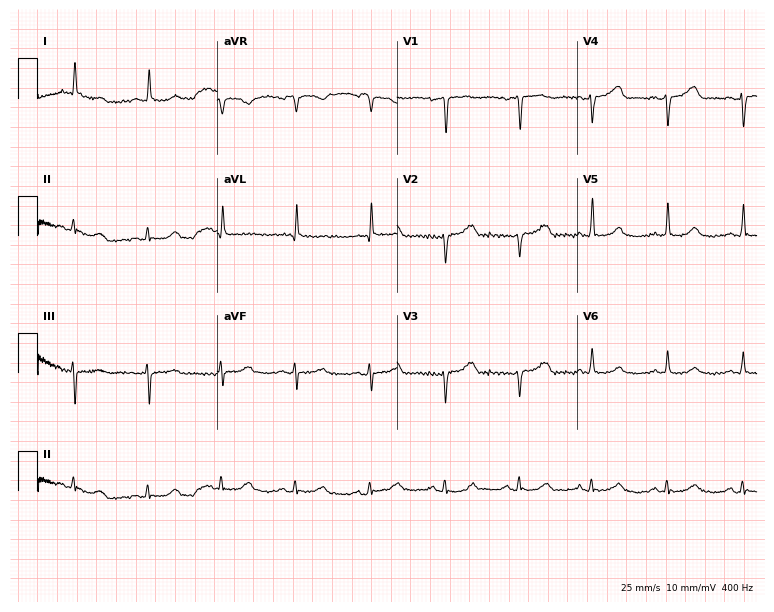
Resting 12-lead electrocardiogram (7.3-second recording at 400 Hz). Patient: a woman, 72 years old. None of these six findings is recorded: first-degree AV block, right bundle branch block, left bundle branch block, sinus bradycardia, atrial fibrillation, sinus tachycardia. Only these six findings were labelled.